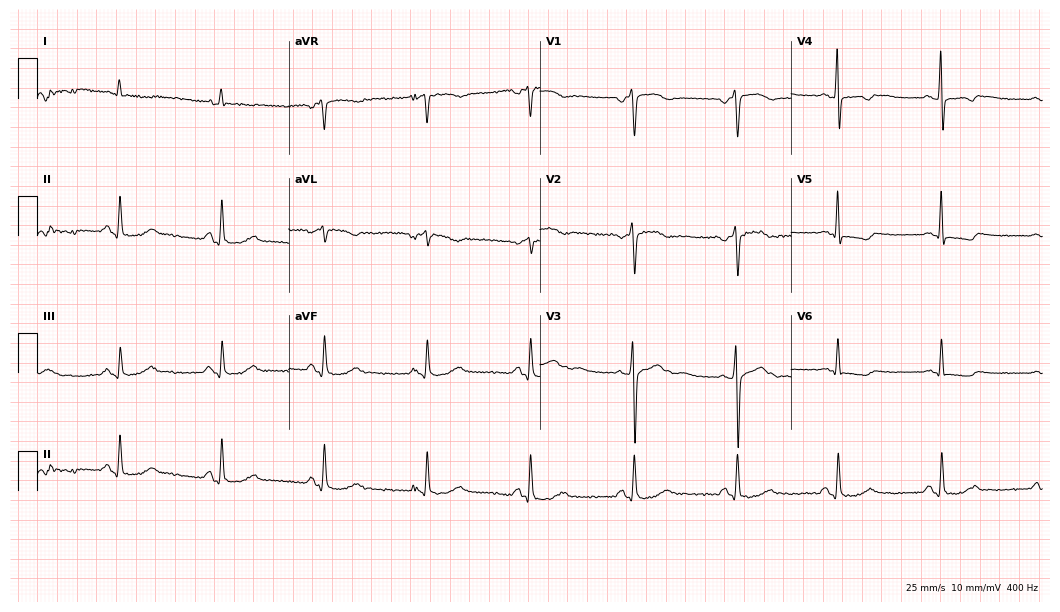
12-lead ECG from a male patient, 73 years old. No first-degree AV block, right bundle branch block, left bundle branch block, sinus bradycardia, atrial fibrillation or sinus tachycardia recorded for this tracing.